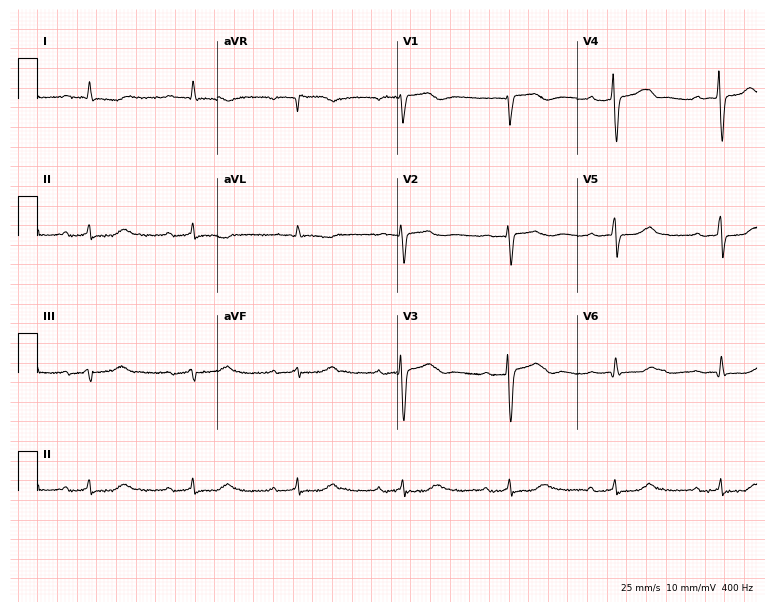
Resting 12-lead electrocardiogram (7.3-second recording at 400 Hz). Patient: a 74-year-old male. The tracing shows first-degree AV block.